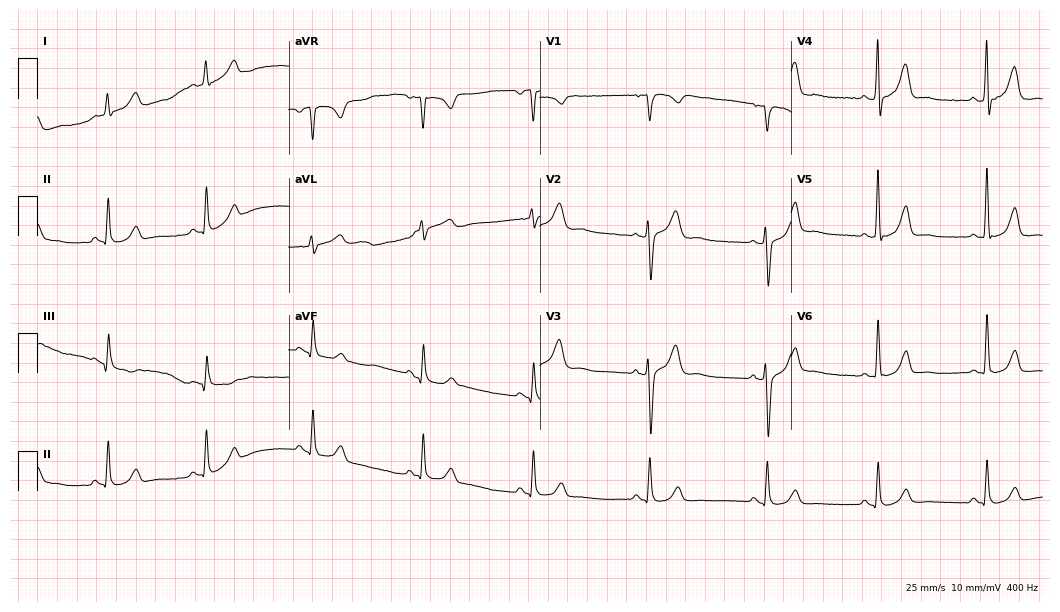
Electrocardiogram (10.2-second recording at 400 Hz), a female patient, 51 years old. Overall reading on record: normal ECG.